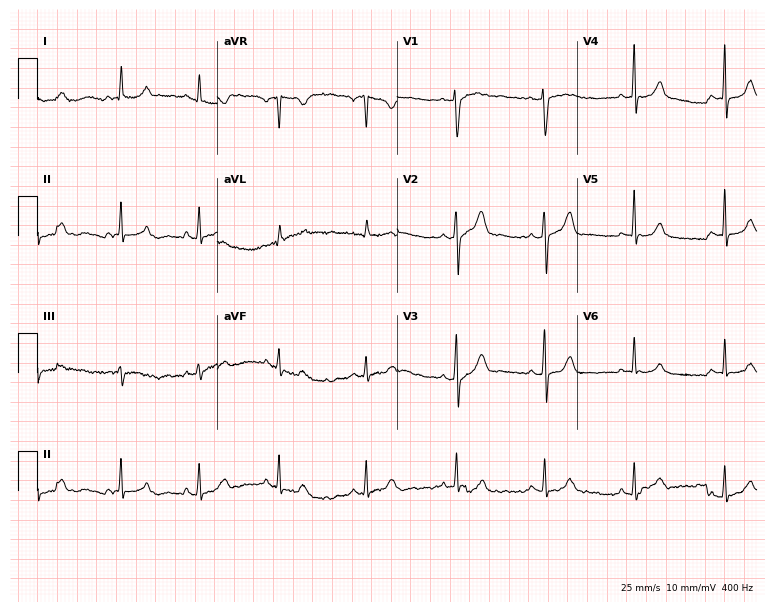
ECG — a female patient, 30 years old. Labelled as a normal ECG.